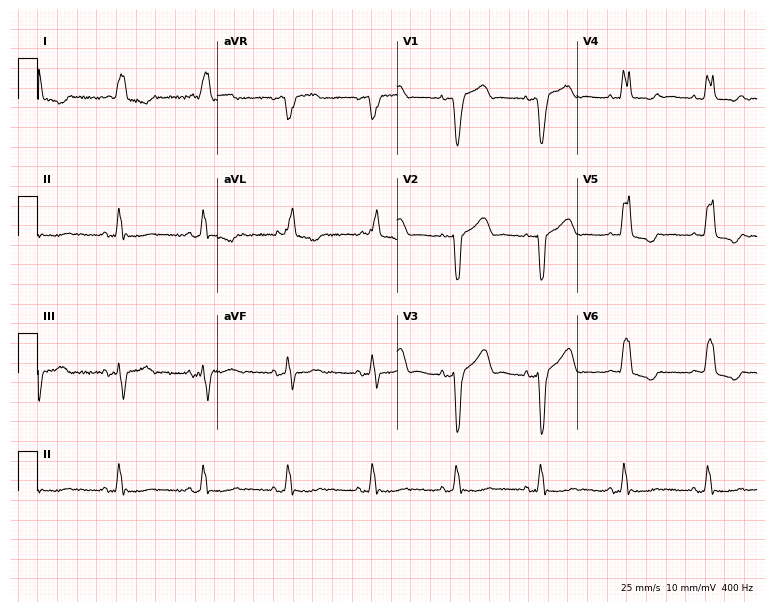
12-lead ECG from a 74-year-old female (7.3-second recording at 400 Hz). Shows left bundle branch block.